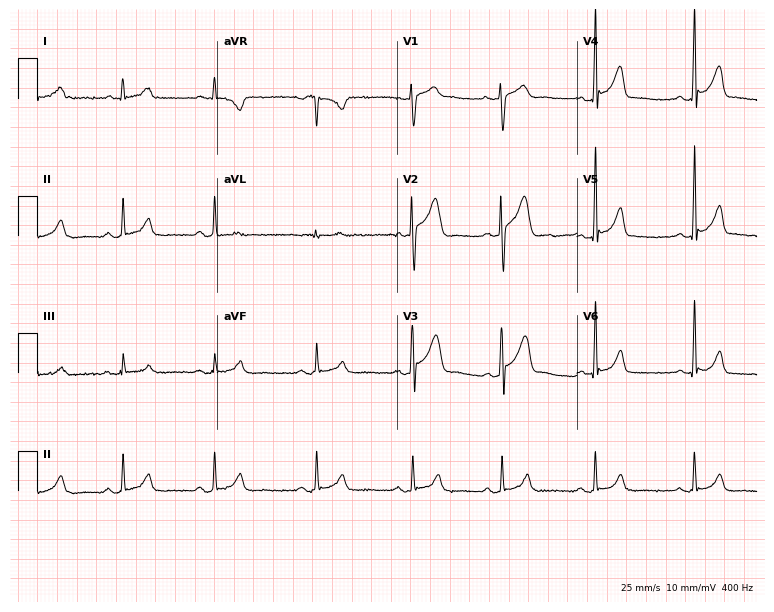
Standard 12-lead ECG recorded from a 26-year-old male patient. None of these six findings is recorded: first-degree AV block, right bundle branch block (RBBB), left bundle branch block (LBBB), sinus bradycardia, atrial fibrillation (AF), sinus tachycardia. Findings outside these six are not listed.